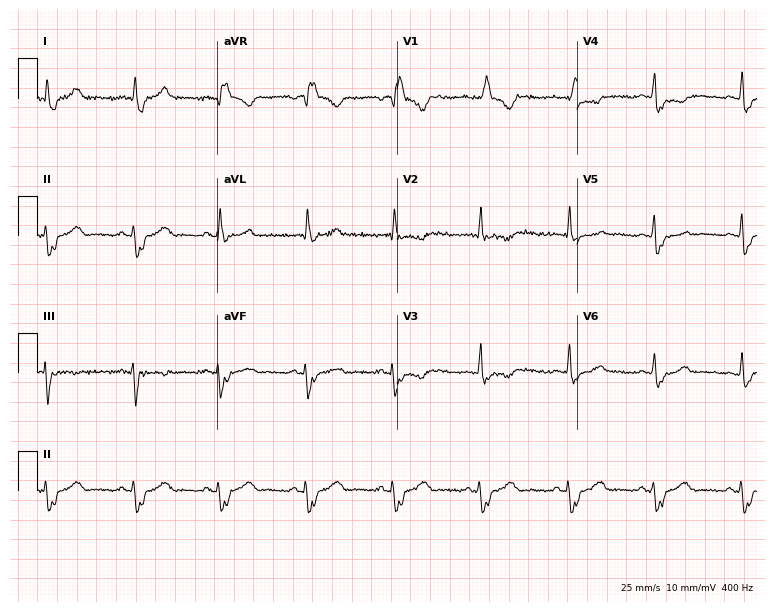
Standard 12-lead ECG recorded from a female, 47 years old (7.3-second recording at 400 Hz). The tracing shows right bundle branch block.